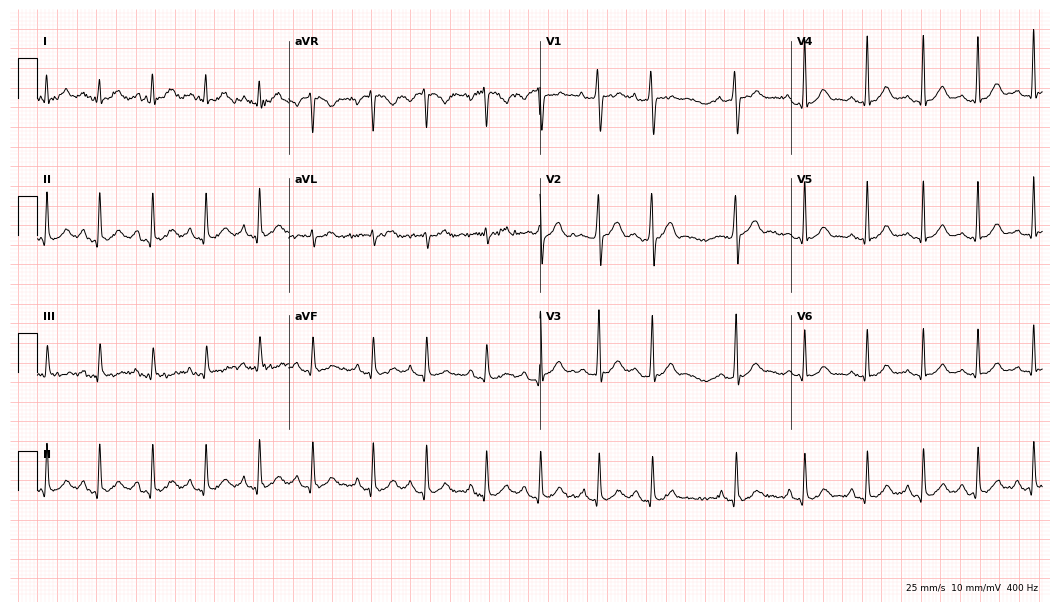
Electrocardiogram (10.2-second recording at 400 Hz), a 21-year-old male patient. Overall reading on record: normal ECG.